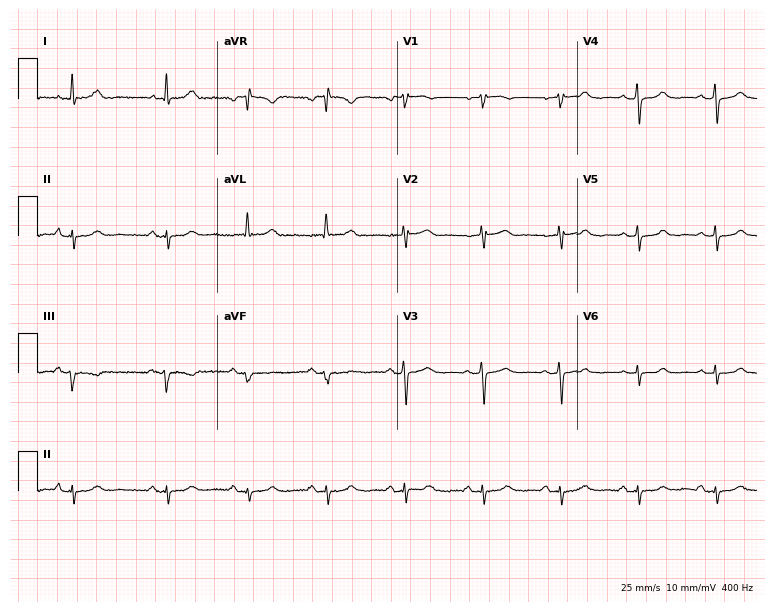
Standard 12-lead ECG recorded from a 70-year-old female. None of these six findings is recorded: first-degree AV block, right bundle branch block, left bundle branch block, sinus bradycardia, atrial fibrillation, sinus tachycardia.